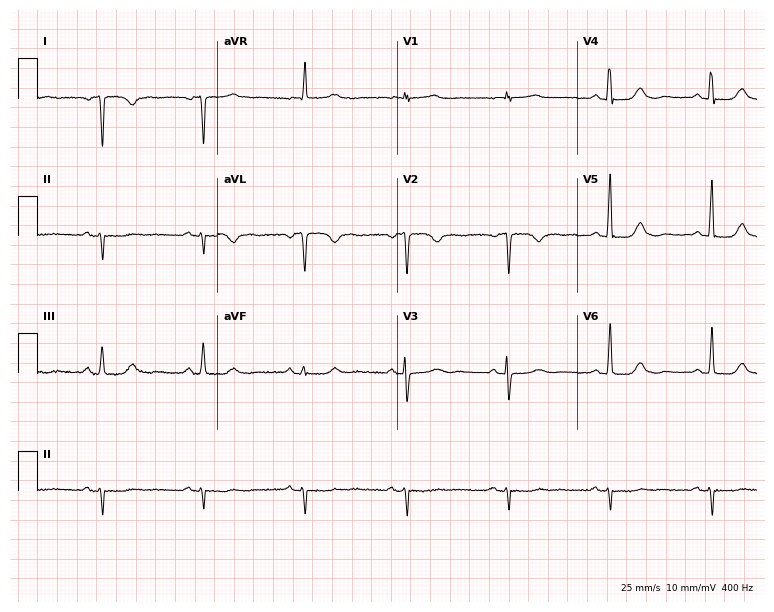
Resting 12-lead electrocardiogram. Patient: a female, 83 years old. None of these six findings is recorded: first-degree AV block, right bundle branch block, left bundle branch block, sinus bradycardia, atrial fibrillation, sinus tachycardia. Only these six findings were labelled.